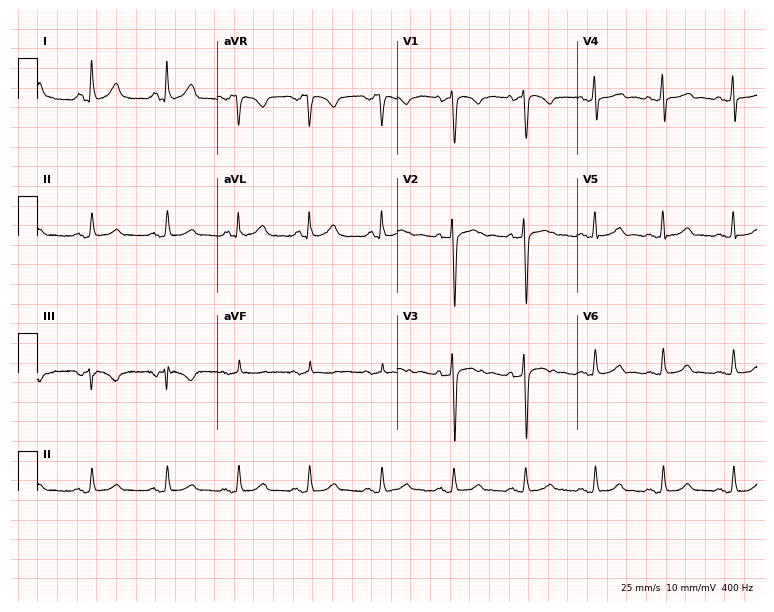
ECG — a 29-year-old woman. Labelled as a normal ECG.